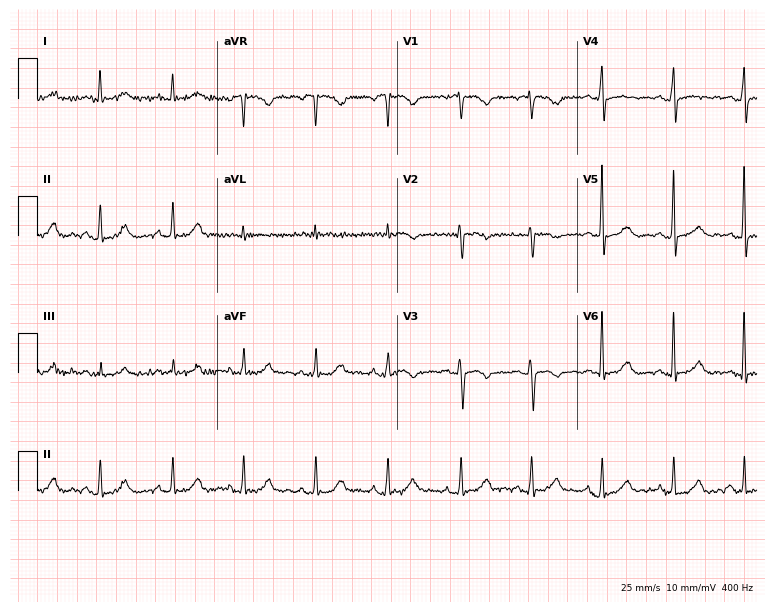
Standard 12-lead ECG recorded from a female, 50 years old (7.3-second recording at 400 Hz). Read as a normal ECG.